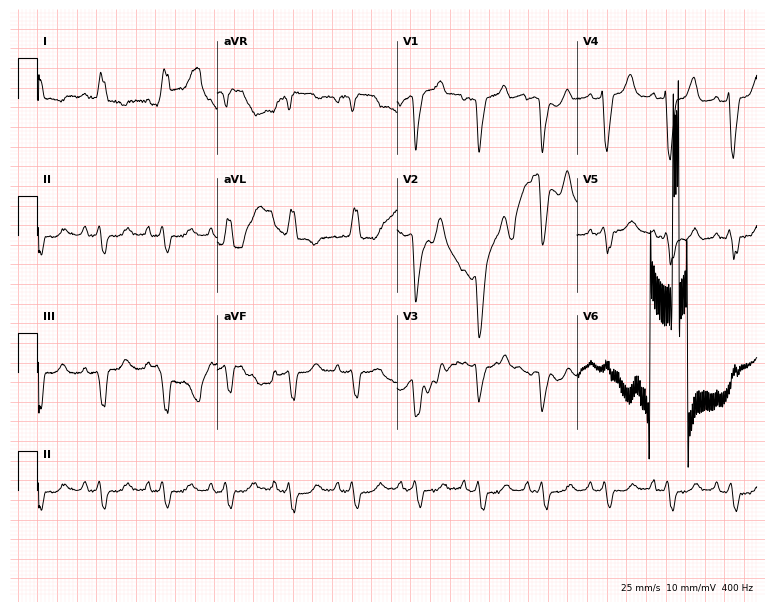
Resting 12-lead electrocardiogram. Patient: a female, 75 years old. None of these six findings is recorded: first-degree AV block, right bundle branch block, left bundle branch block, sinus bradycardia, atrial fibrillation, sinus tachycardia.